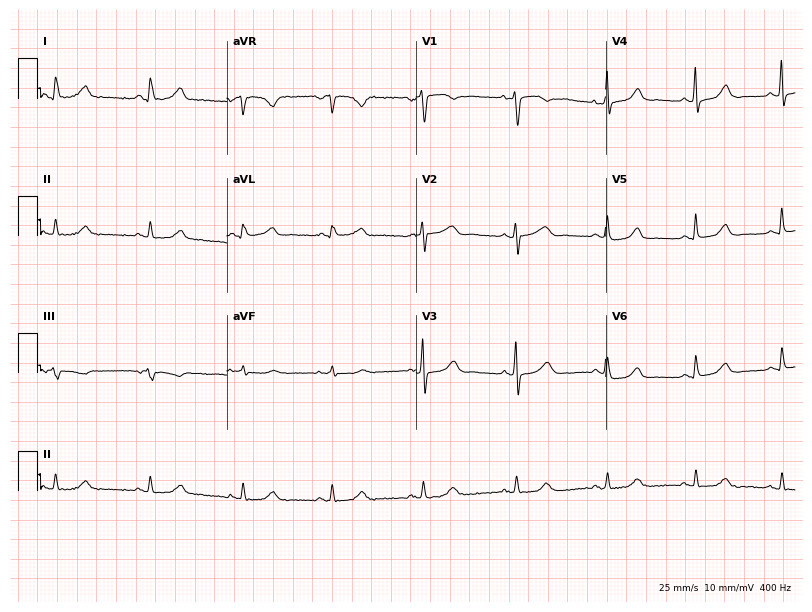
12-lead ECG from a woman, 47 years old. Screened for six findings — first-degree AV block, right bundle branch block (RBBB), left bundle branch block (LBBB), sinus bradycardia, atrial fibrillation (AF), sinus tachycardia — none is recorded. Findings outside these six are not listed.